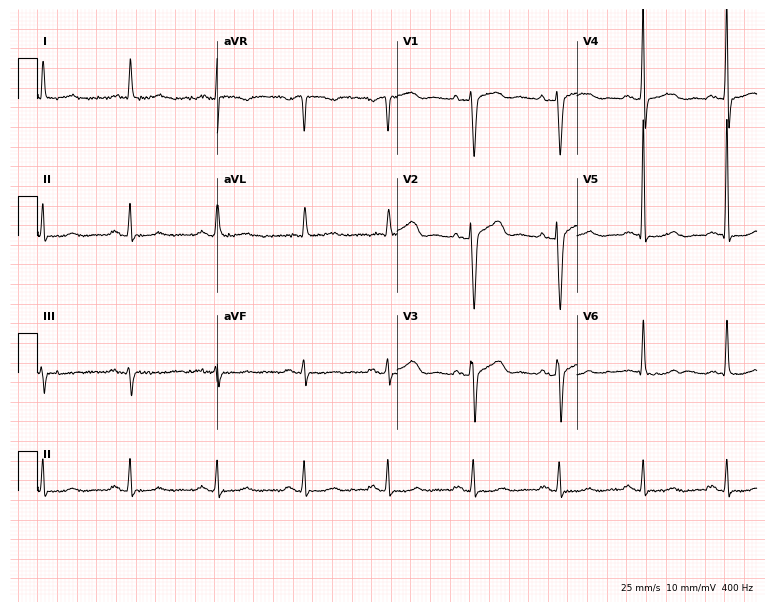
Electrocardiogram (7.3-second recording at 400 Hz), a male patient, 66 years old. Of the six screened findings (first-degree AV block, right bundle branch block (RBBB), left bundle branch block (LBBB), sinus bradycardia, atrial fibrillation (AF), sinus tachycardia), none is recorded. Other findings, if any, are not listed.